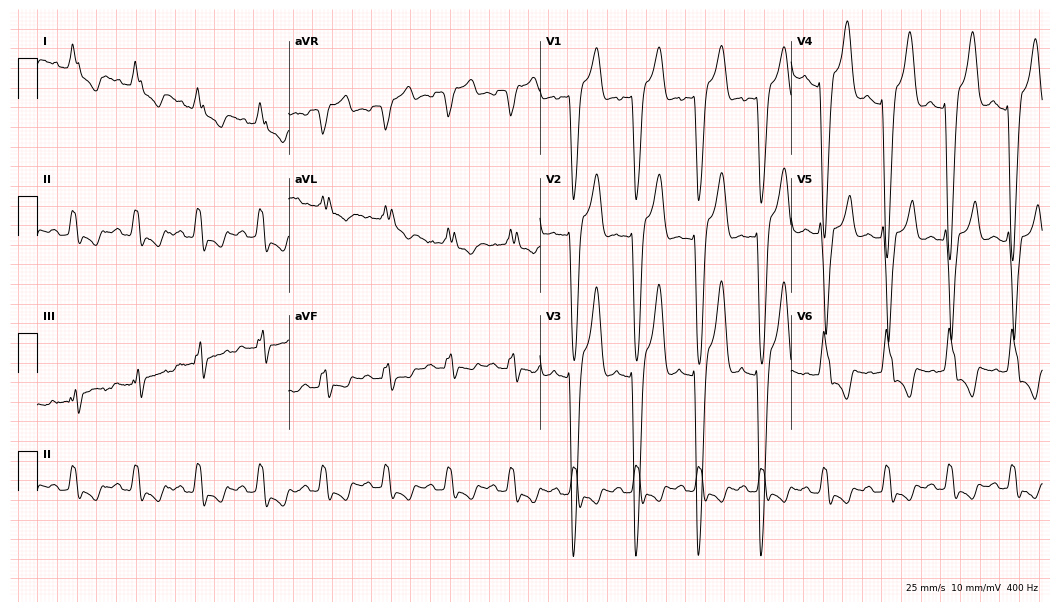
Standard 12-lead ECG recorded from a male patient, 85 years old. The tracing shows atrial fibrillation (AF).